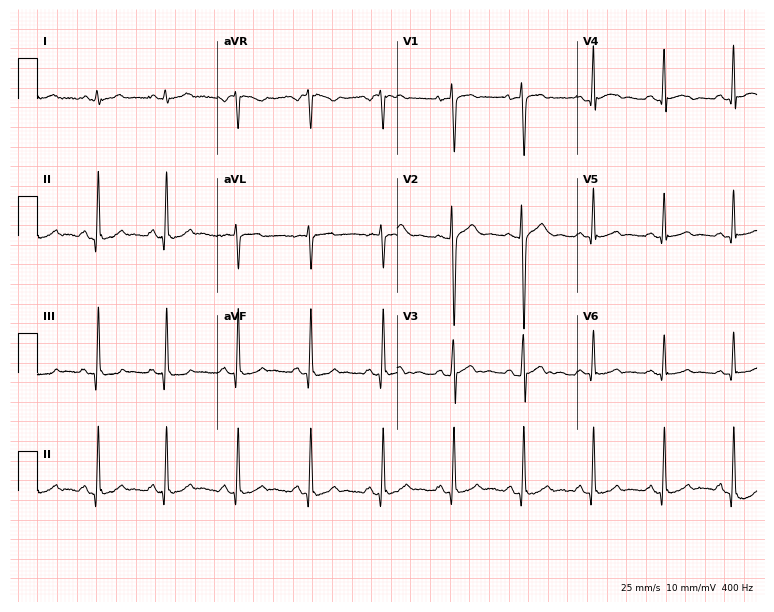
Resting 12-lead electrocardiogram. Patient: a 20-year-old male. Read as a normal ECG.